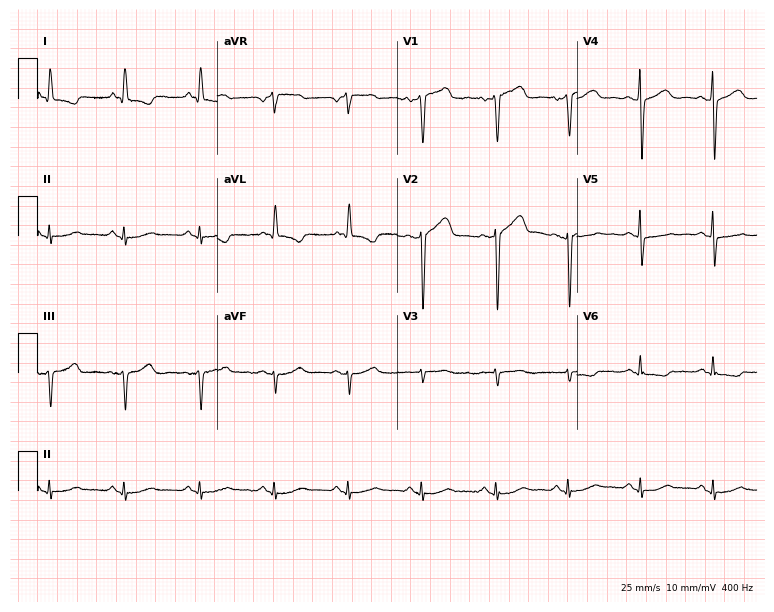
12-lead ECG from a female, 68 years old (7.3-second recording at 400 Hz). No first-degree AV block, right bundle branch block (RBBB), left bundle branch block (LBBB), sinus bradycardia, atrial fibrillation (AF) or sinus tachycardia recorded for this tracing.